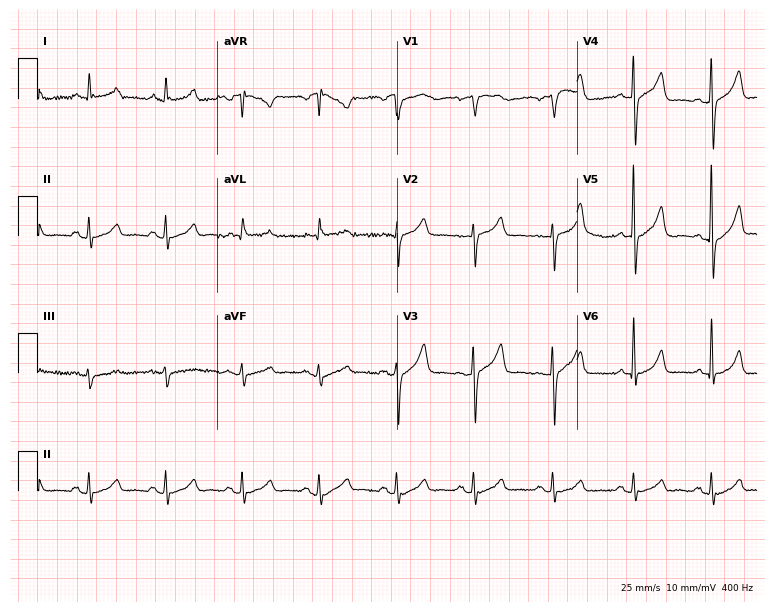
Resting 12-lead electrocardiogram. Patient: an 84-year-old man. None of these six findings is recorded: first-degree AV block, right bundle branch block, left bundle branch block, sinus bradycardia, atrial fibrillation, sinus tachycardia. Only these six findings were labelled.